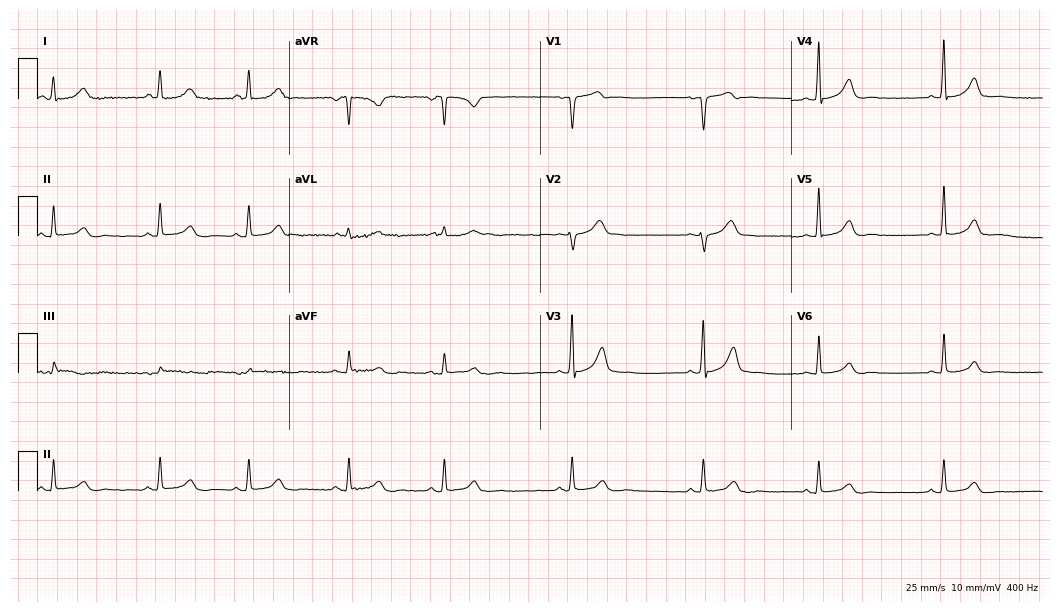
ECG (10.2-second recording at 400 Hz) — a 45-year-old woman. Labelled as a normal ECG.